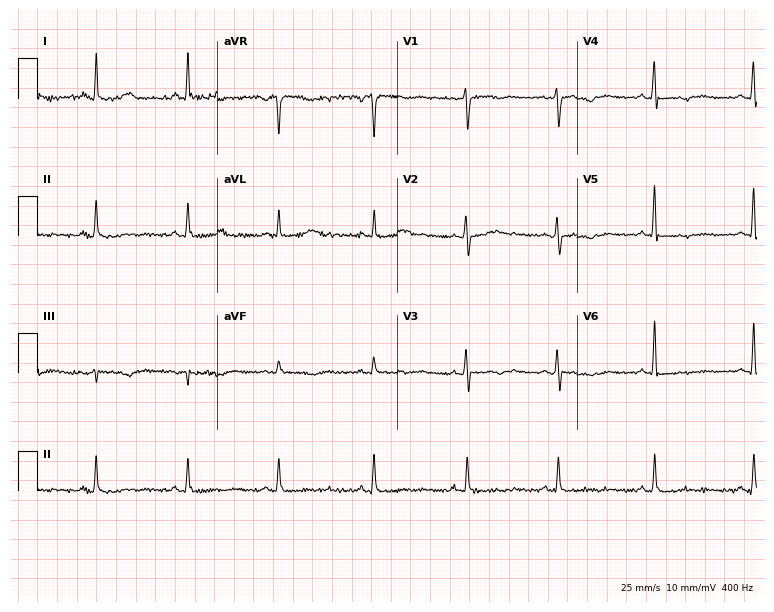
Standard 12-lead ECG recorded from a female patient, 50 years old (7.3-second recording at 400 Hz). None of these six findings is recorded: first-degree AV block, right bundle branch block (RBBB), left bundle branch block (LBBB), sinus bradycardia, atrial fibrillation (AF), sinus tachycardia.